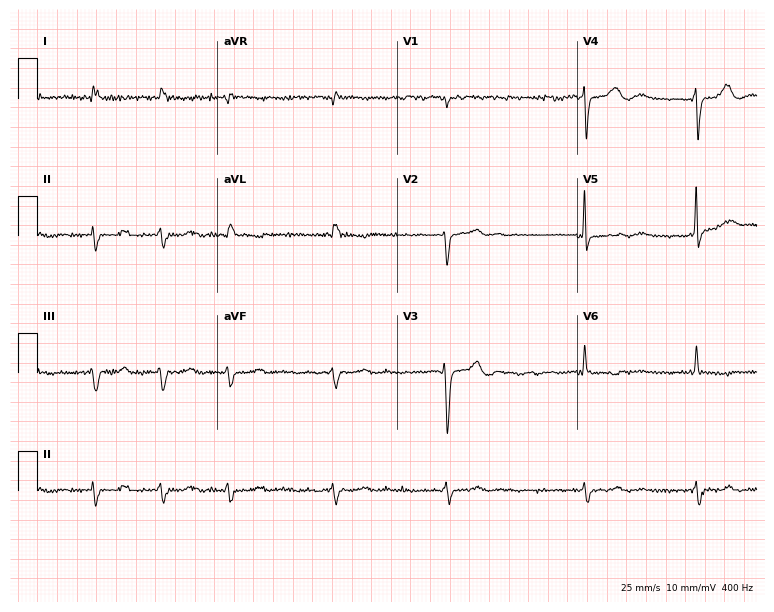
Resting 12-lead electrocardiogram (7.3-second recording at 400 Hz). Patient: a 77-year-old woman. The tracing shows atrial fibrillation.